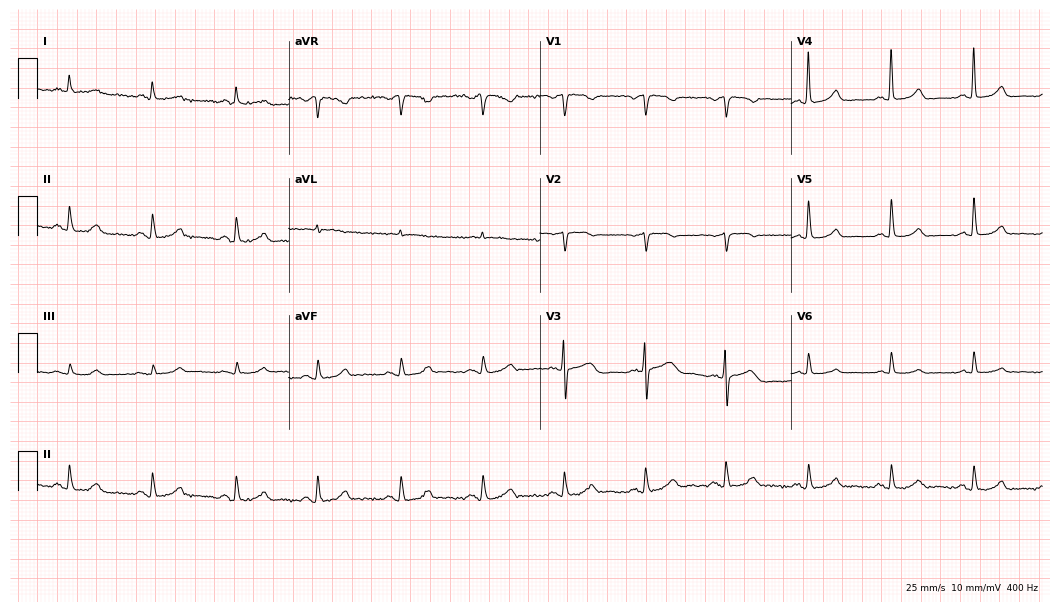
12-lead ECG (10.2-second recording at 400 Hz) from a 74-year-old female. Screened for six findings — first-degree AV block, right bundle branch block, left bundle branch block, sinus bradycardia, atrial fibrillation, sinus tachycardia — none is recorded.